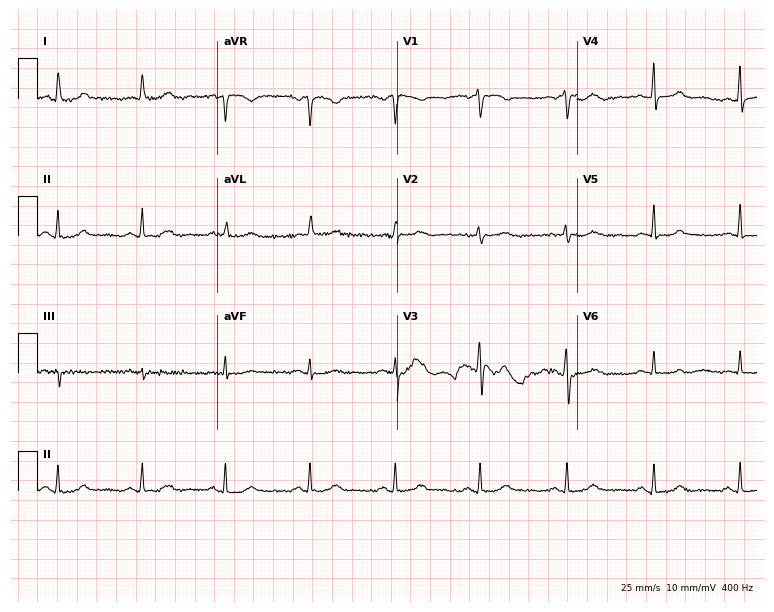
Electrocardiogram (7.3-second recording at 400 Hz), a 77-year-old female. Overall reading on record: normal ECG.